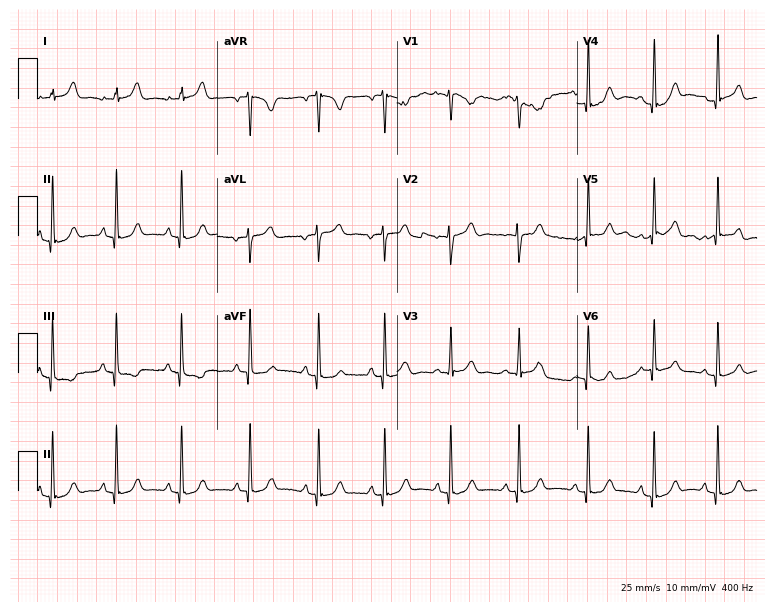
12-lead ECG from a female, 29 years old (7.3-second recording at 400 Hz). No first-degree AV block, right bundle branch block, left bundle branch block, sinus bradycardia, atrial fibrillation or sinus tachycardia recorded for this tracing.